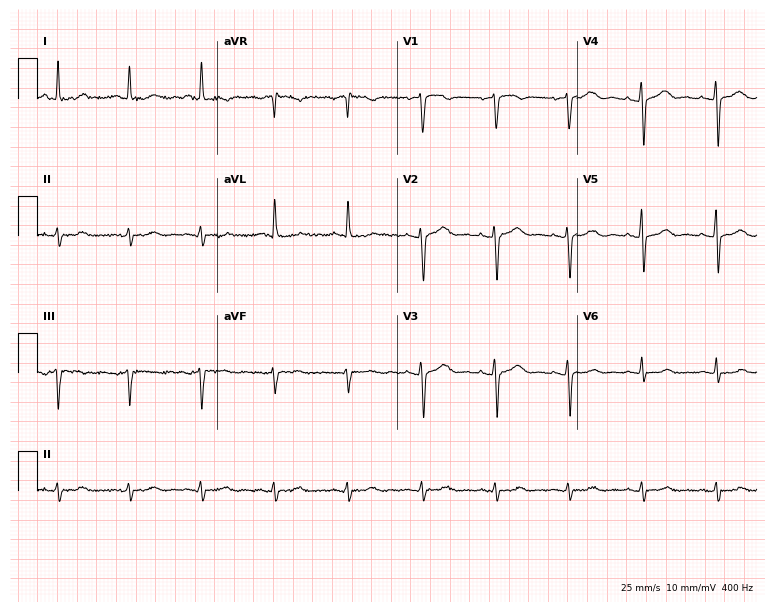
12-lead ECG from a female, 61 years old (7.3-second recording at 400 Hz). No first-degree AV block, right bundle branch block, left bundle branch block, sinus bradycardia, atrial fibrillation or sinus tachycardia recorded for this tracing.